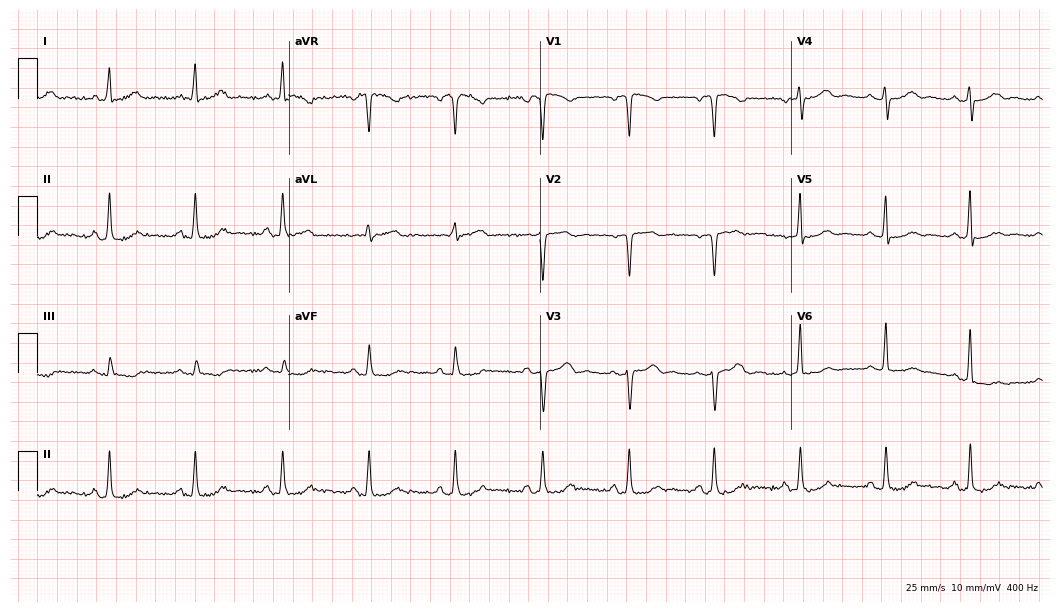
12-lead ECG (10.2-second recording at 400 Hz) from a 53-year-old female. Screened for six findings — first-degree AV block, right bundle branch block, left bundle branch block, sinus bradycardia, atrial fibrillation, sinus tachycardia — none is recorded. Only these six findings were labelled.